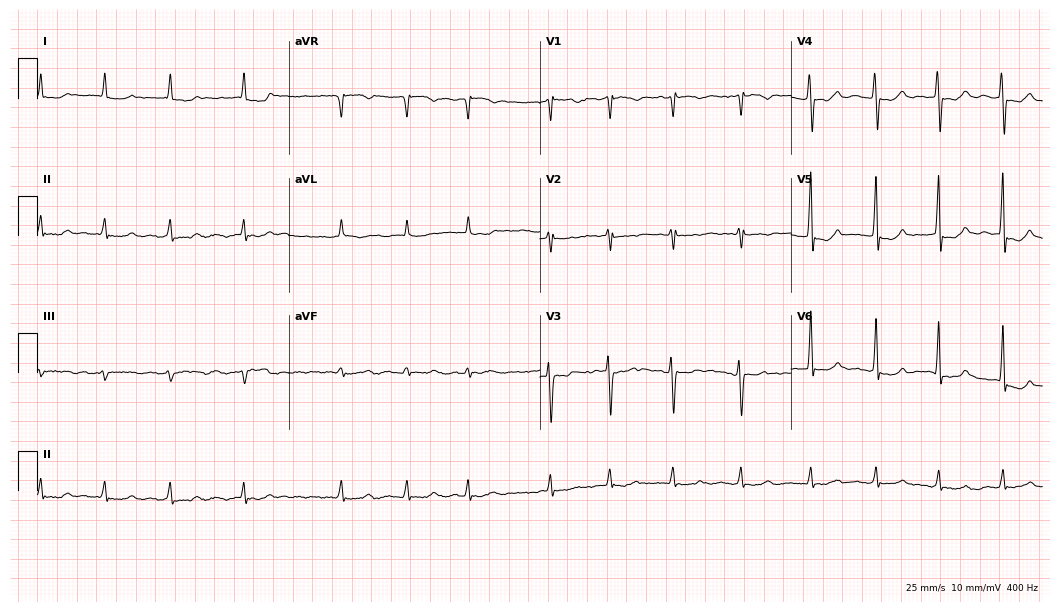
12-lead ECG (10.2-second recording at 400 Hz) from a female, 82 years old. Findings include atrial fibrillation (AF).